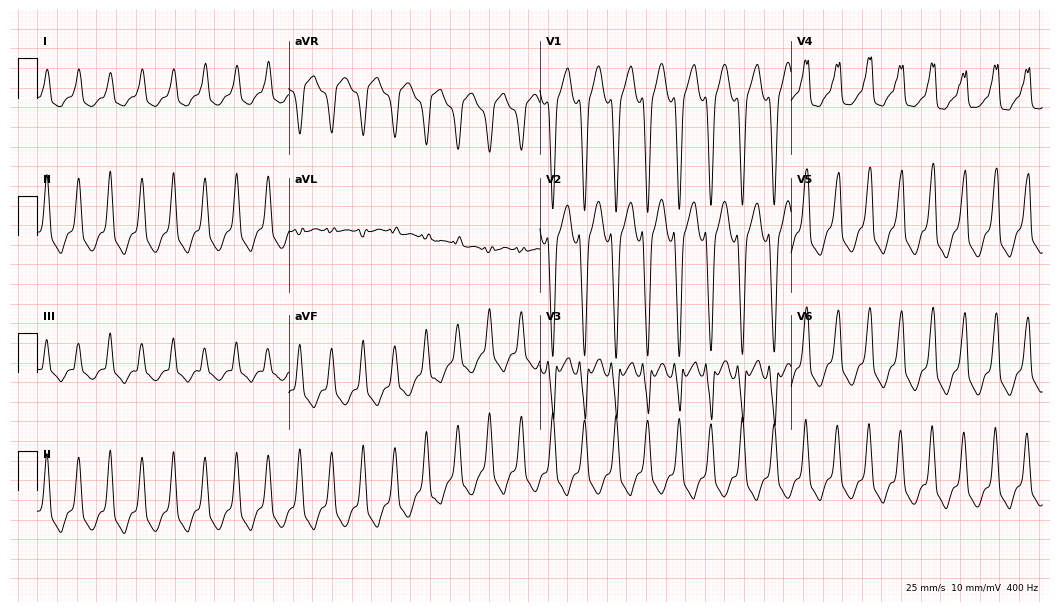
12-lead ECG (10.2-second recording at 400 Hz) from a 54-year-old man. Findings include left bundle branch block.